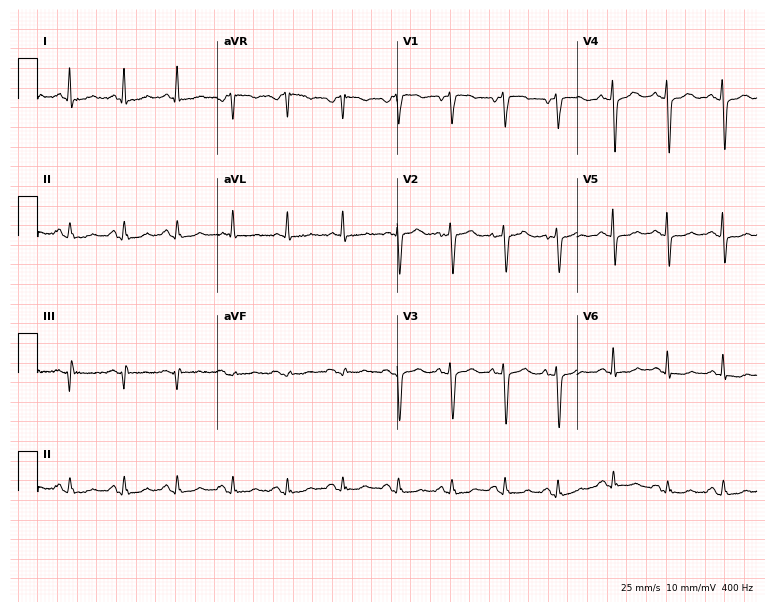
12-lead ECG from a 71-year-old female. Shows sinus tachycardia (a sinus rate of 100 beats per minute or more).